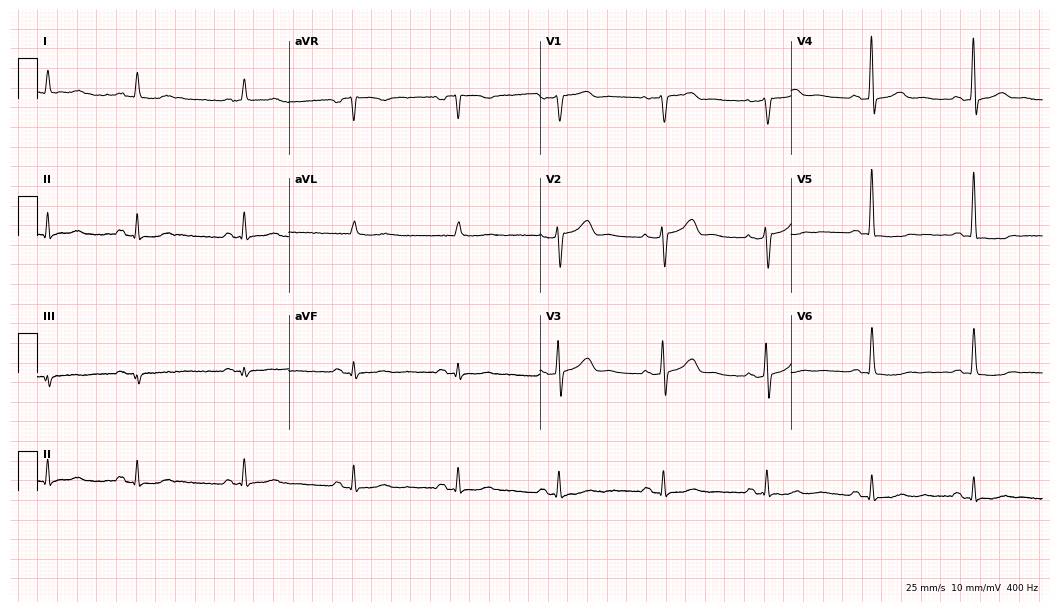
12-lead ECG from an 80-year-old male. Labelled as a normal ECG.